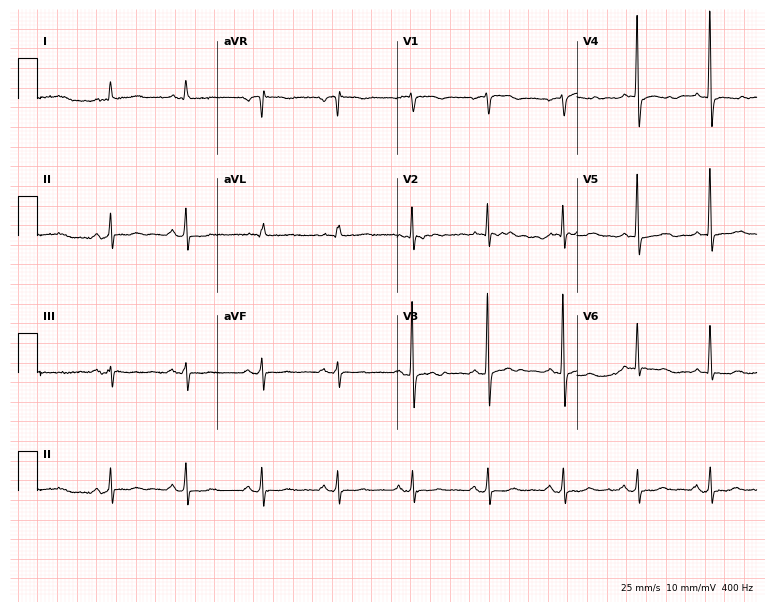
Standard 12-lead ECG recorded from a female, 85 years old (7.3-second recording at 400 Hz). None of these six findings is recorded: first-degree AV block, right bundle branch block, left bundle branch block, sinus bradycardia, atrial fibrillation, sinus tachycardia. Other findings, if any, are not listed.